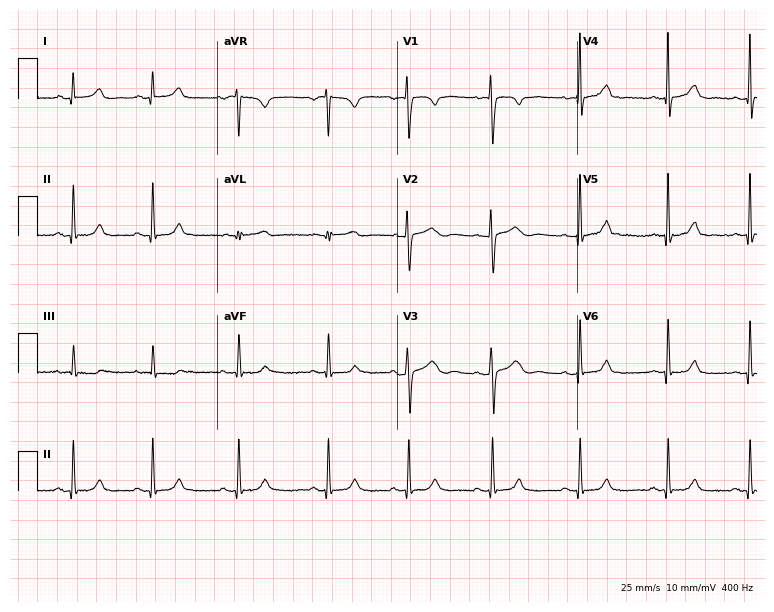
ECG (7.3-second recording at 400 Hz) — a woman, 21 years old. Labelled as a normal ECG.